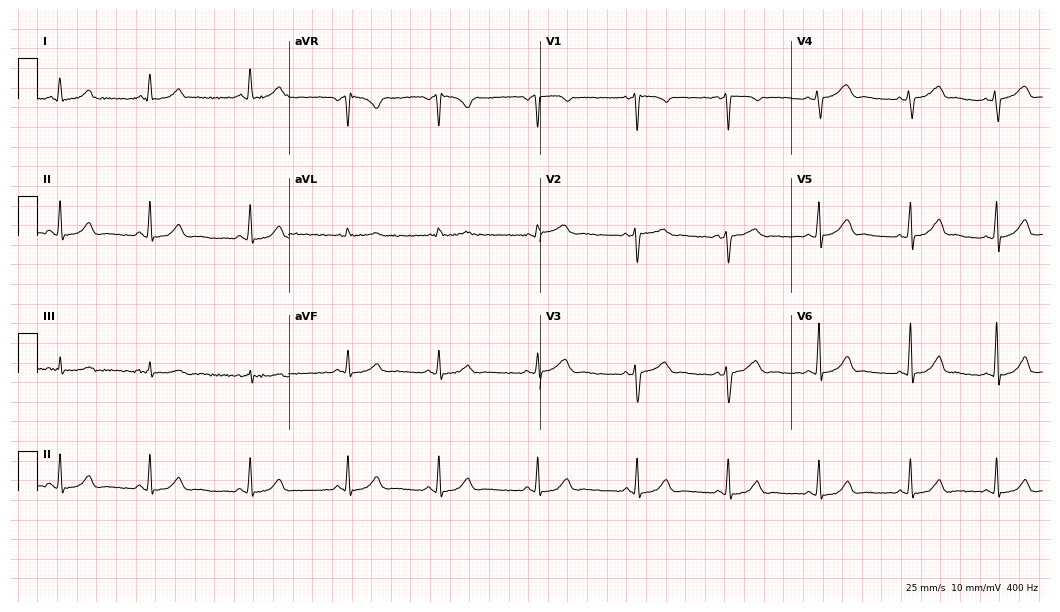
Electrocardiogram, a woman, 28 years old. Of the six screened findings (first-degree AV block, right bundle branch block, left bundle branch block, sinus bradycardia, atrial fibrillation, sinus tachycardia), none is recorded. Only these six findings were labelled.